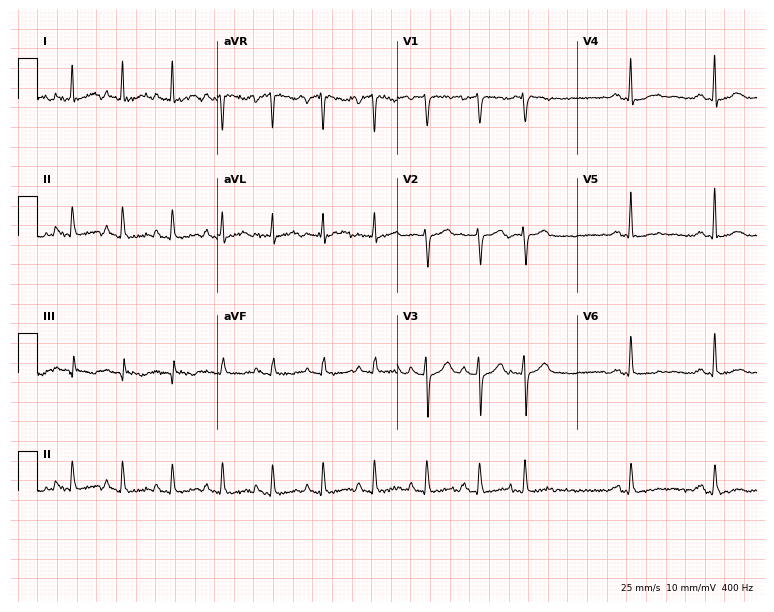
Electrocardiogram, an 81-year-old female. Interpretation includes sinus tachycardia (a sinus rate of 100 beats per minute or more).